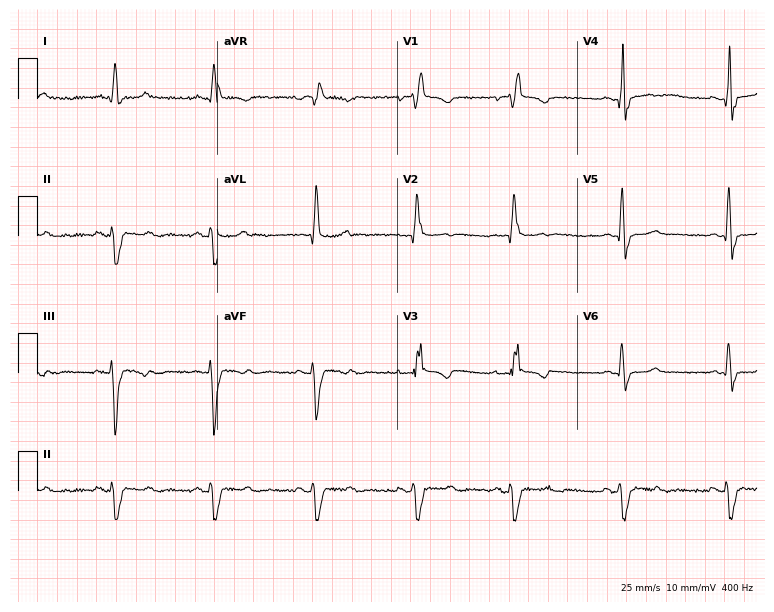
Resting 12-lead electrocardiogram (7.3-second recording at 400 Hz). Patient: a 51-year-old female. The tracing shows right bundle branch block.